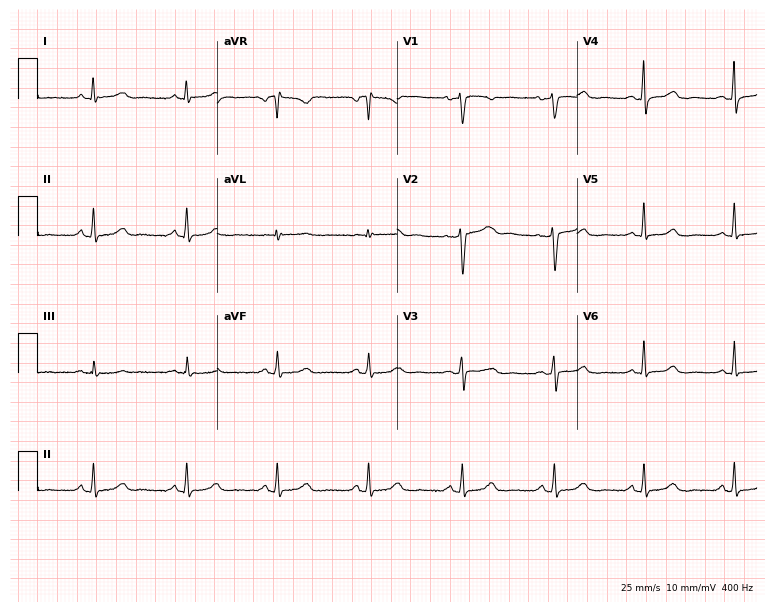
ECG — a 51-year-old woman. Labelled as a normal ECG.